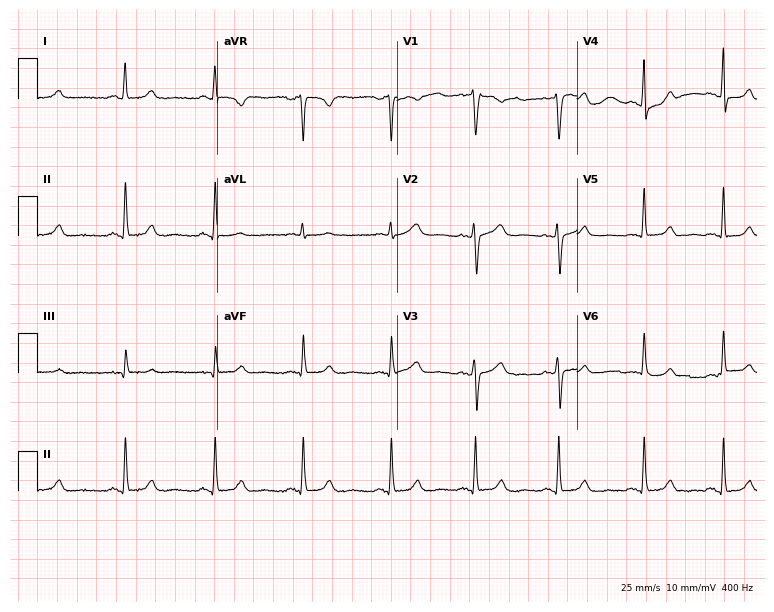
12-lead ECG from a 67-year-old woman. Labelled as a normal ECG.